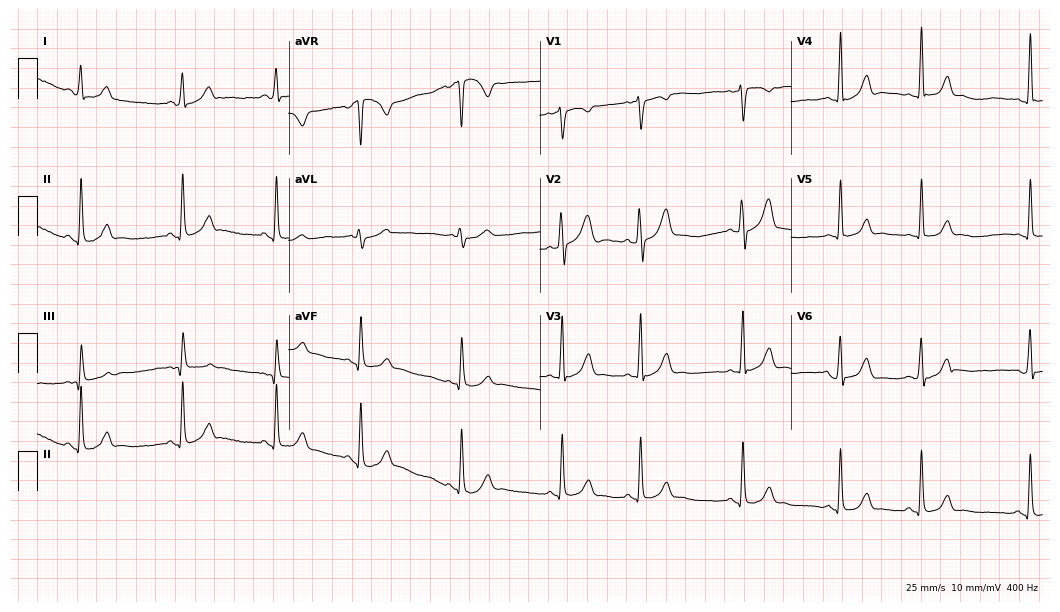
12-lead ECG from a female, 20 years old (10.2-second recording at 400 Hz). Recorded interpretation: within normal limits.